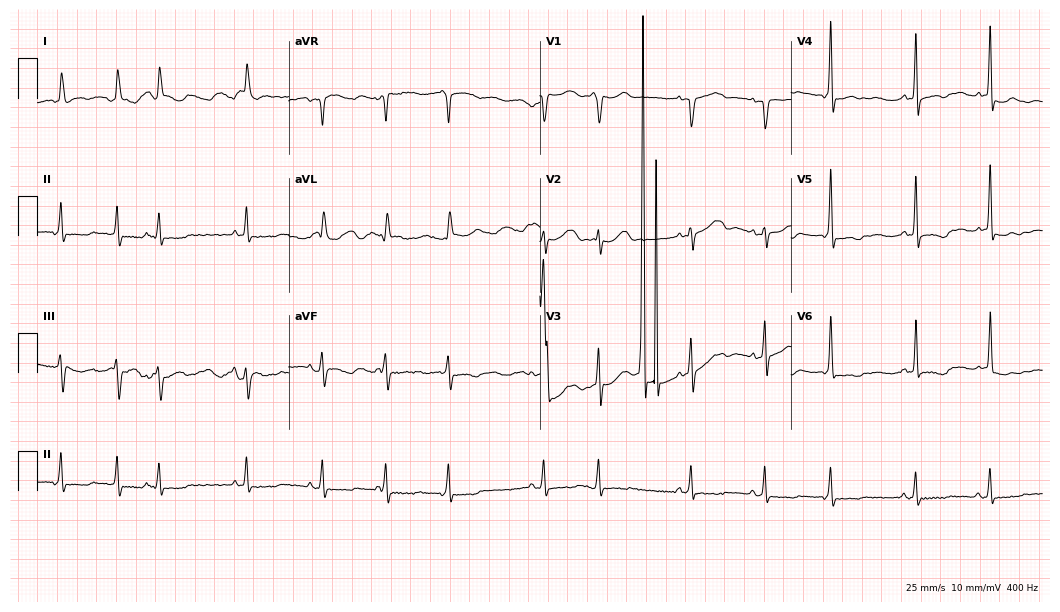
ECG — a female, 74 years old. Screened for six findings — first-degree AV block, right bundle branch block, left bundle branch block, sinus bradycardia, atrial fibrillation, sinus tachycardia — none is recorded. Other findings, if any, are not listed.